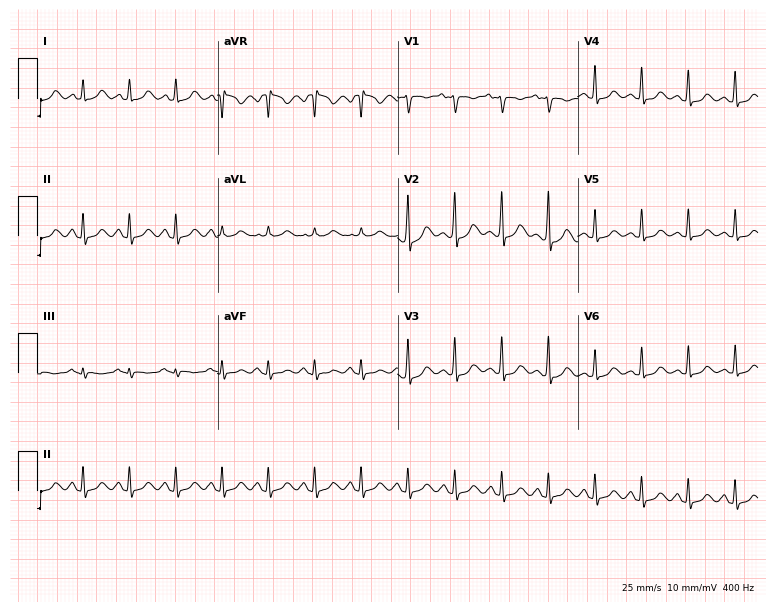
12-lead ECG from a woman, 18 years old. Shows sinus tachycardia (a sinus rate of 100 beats per minute or more).